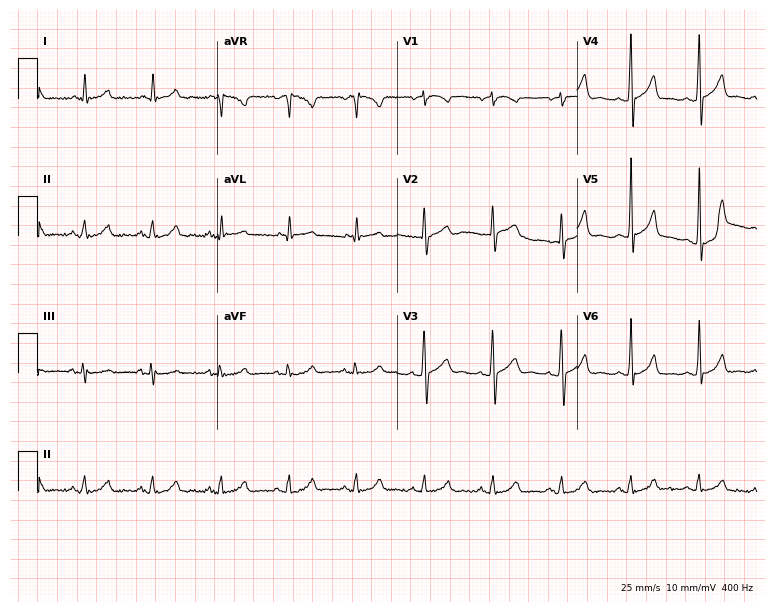
Electrocardiogram, a 69-year-old man. Overall reading on record: normal ECG.